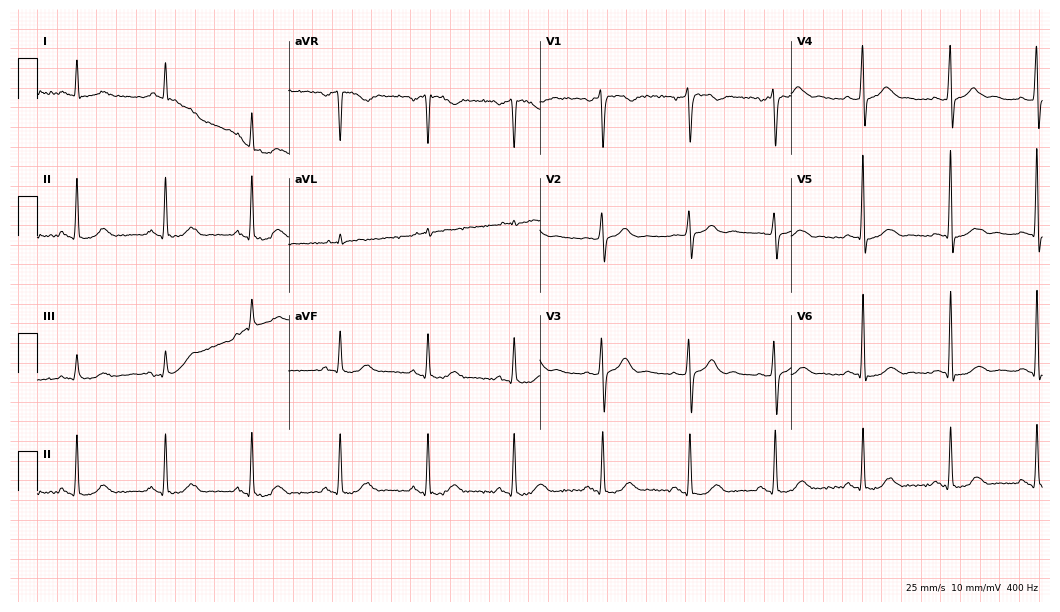
Resting 12-lead electrocardiogram (10.2-second recording at 400 Hz). Patient: a 74-year-old male. Read as a normal ECG.